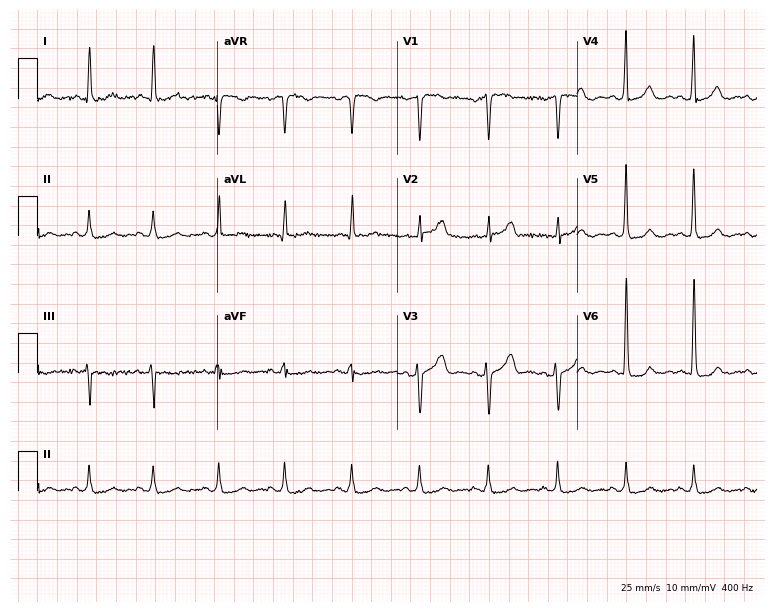
12-lead ECG (7.3-second recording at 400 Hz) from a 50-year-old male. Screened for six findings — first-degree AV block, right bundle branch block, left bundle branch block, sinus bradycardia, atrial fibrillation, sinus tachycardia — none is recorded. Other findings, if any, are not listed.